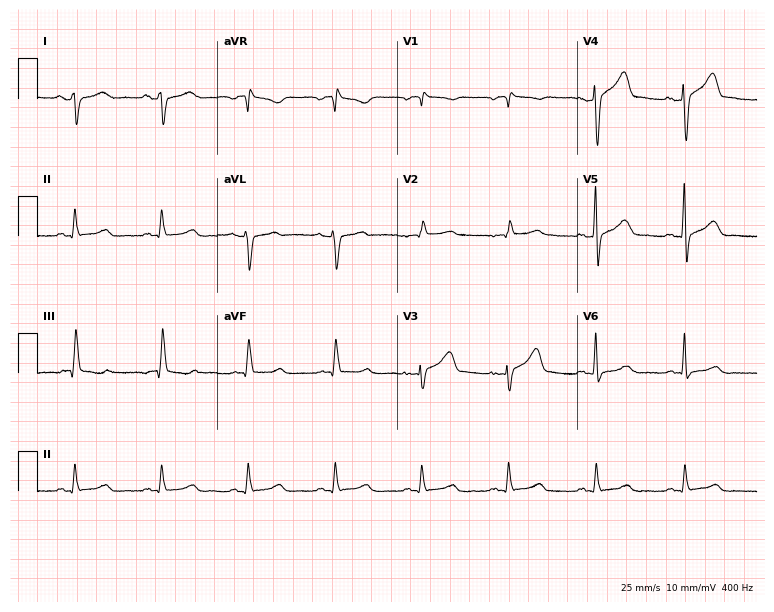
Electrocardiogram, a man, 81 years old. Of the six screened findings (first-degree AV block, right bundle branch block, left bundle branch block, sinus bradycardia, atrial fibrillation, sinus tachycardia), none is recorded.